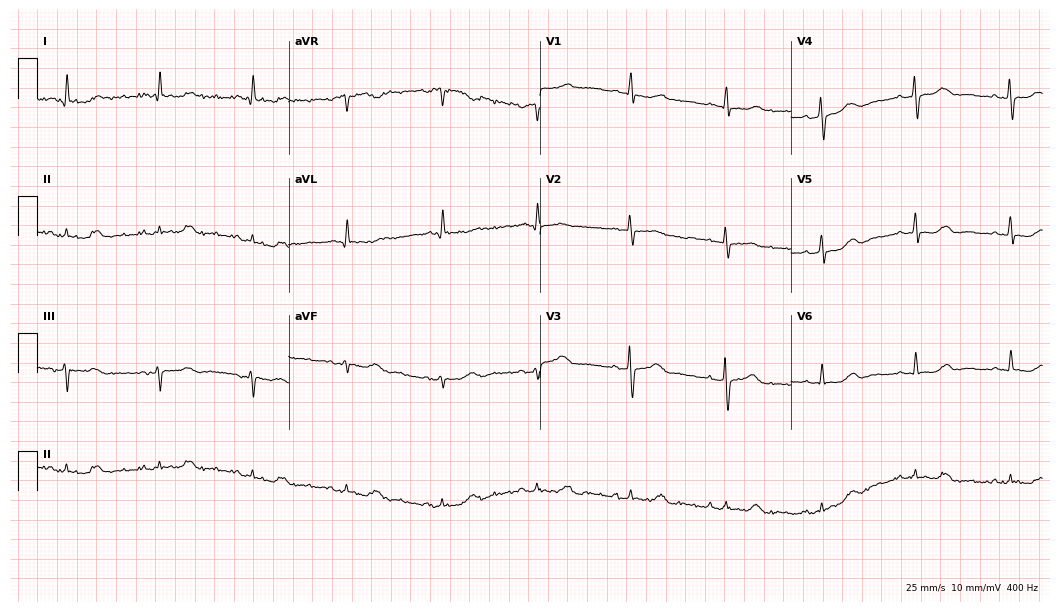
Electrocardiogram, a female, 75 years old. Of the six screened findings (first-degree AV block, right bundle branch block, left bundle branch block, sinus bradycardia, atrial fibrillation, sinus tachycardia), none is recorded. Findings outside these six are not listed.